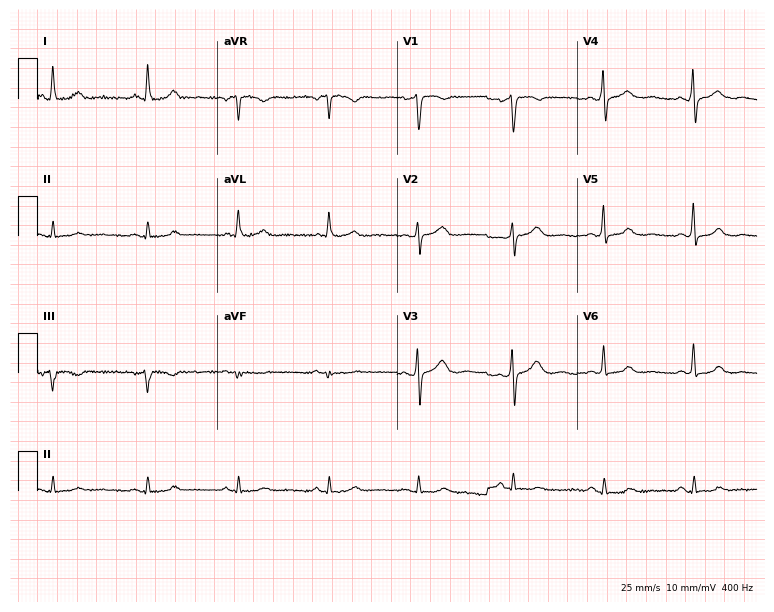
Resting 12-lead electrocardiogram. Patient: a 76-year-old female. Read as a normal ECG.